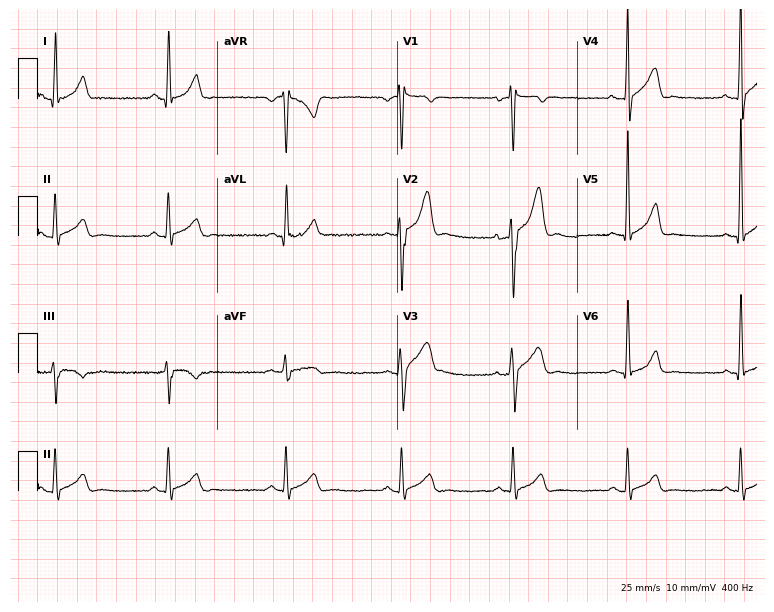
Standard 12-lead ECG recorded from a male, 32 years old. None of these six findings is recorded: first-degree AV block, right bundle branch block, left bundle branch block, sinus bradycardia, atrial fibrillation, sinus tachycardia.